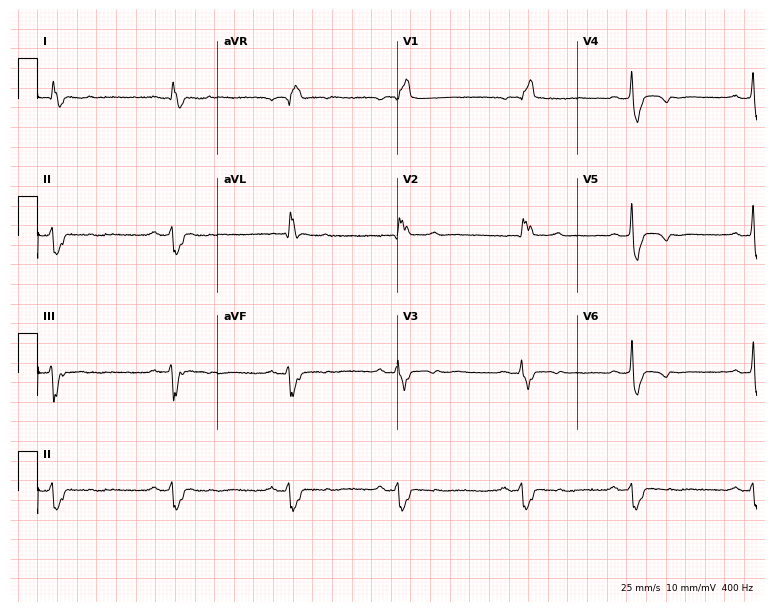
Electrocardiogram, a woman, 80 years old. Interpretation includes right bundle branch block.